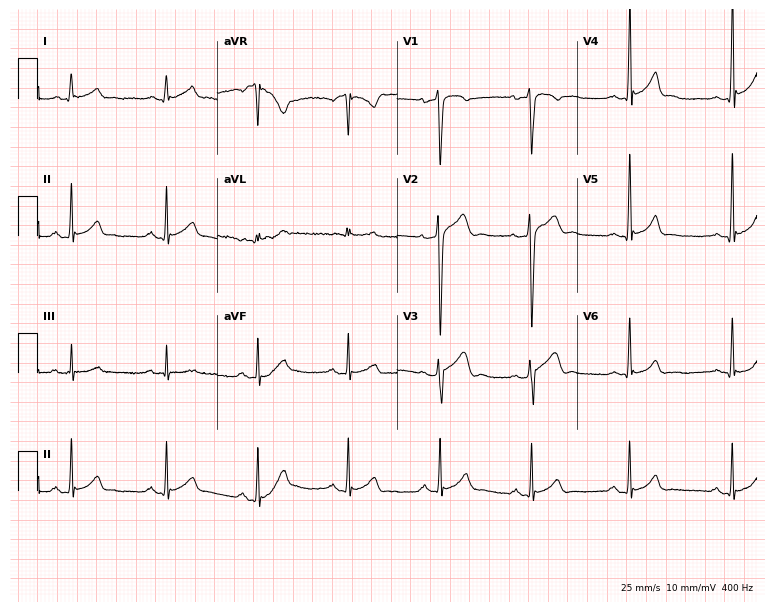
12-lead ECG from a 28-year-old male. Recorded interpretation: within normal limits.